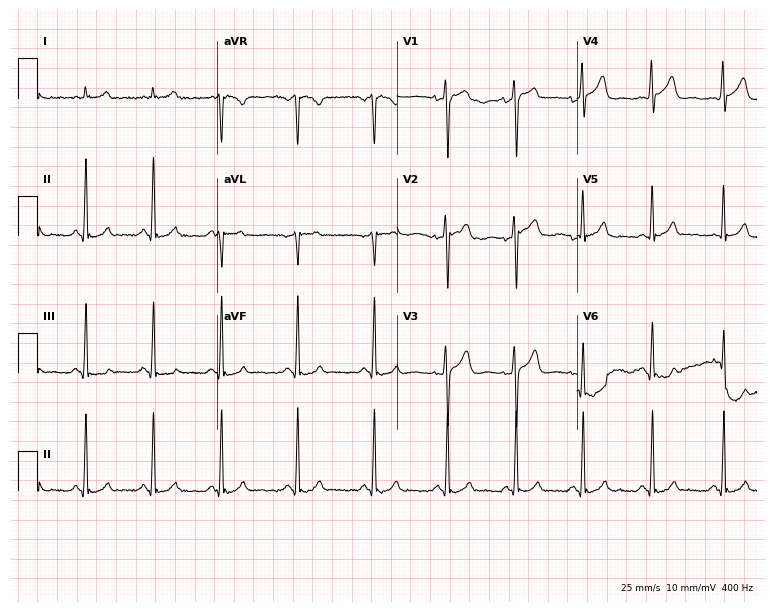
12-lead ECG from a 22-year-old male patient (7.3-second recording at 400 Hz). No first-degree AV block, right bundle branch block (RBBB), left bundle branch block (LBBB), sinus bradycardia, atrial fibrillation (AF) or sinus tachycardia recorded for this tracing.